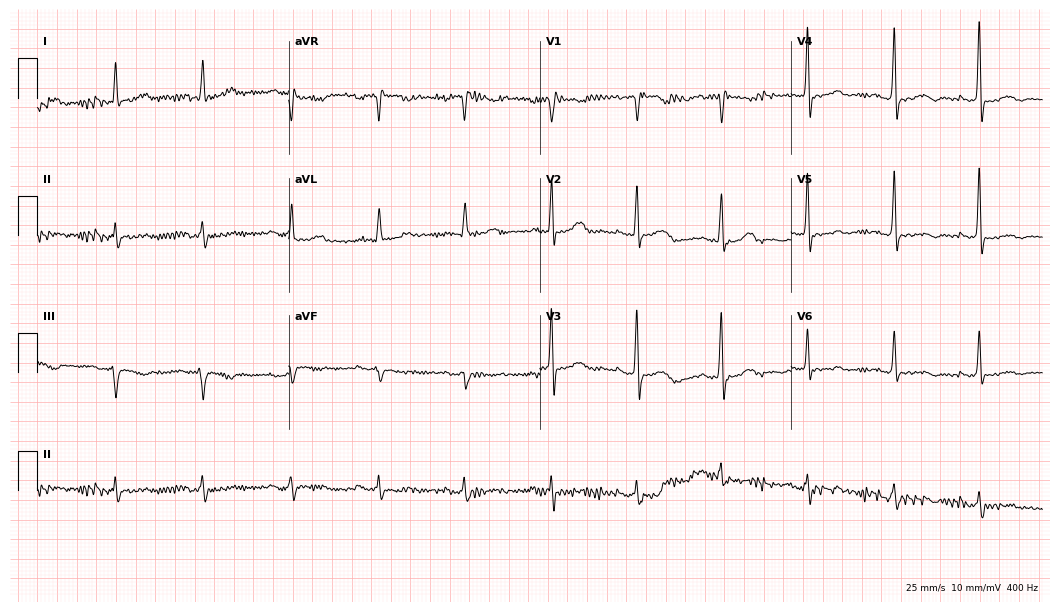
ECG (10.2-second recording at 400 Hz) — a 68-year-old woman. Screened for six findings — first-degree AV block, right bundle branch block, left bundle branch block, sinus bradycardia, atrial fibrillation, sinus tachycardia — none is recorded. Findings outside these six are not listed.